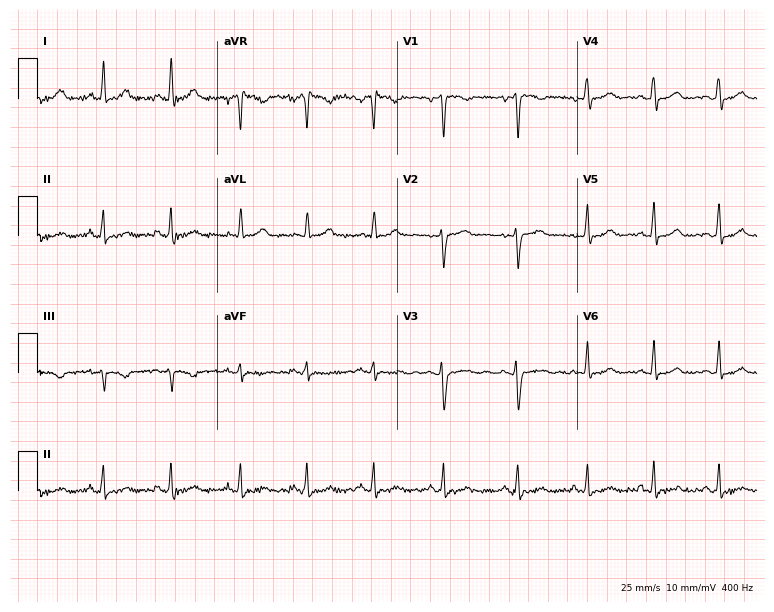
ECG (7.3-second recording at 400 Hz) — a 36-year-old female. Labelled as a normal ECG.